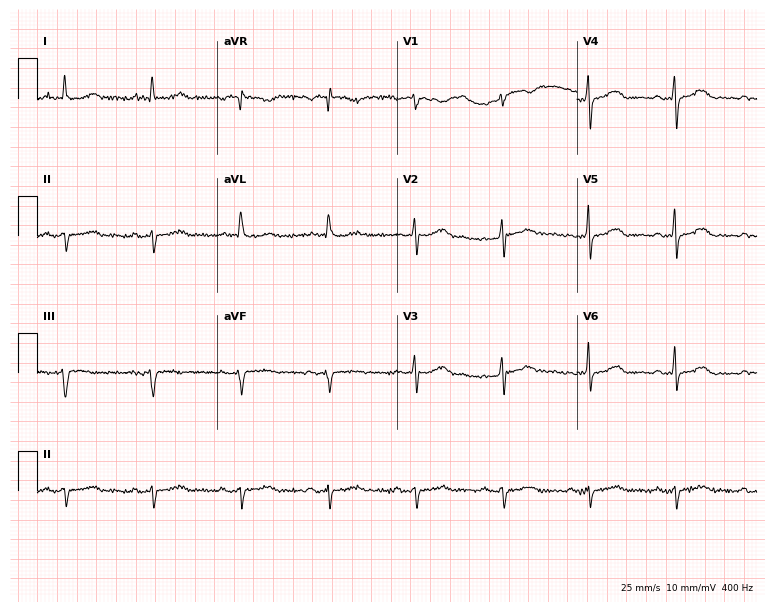
ECG (7.3-second recording at 400 Hz) — a female patient, 58 years old. Screened for six findings — first-degree AV block, right bundle branch block, left bundle branch block, sinus bradycardia, atrial fibrillation, sinus tachycardia — none is recorded. Other findings, if any, are not listed.